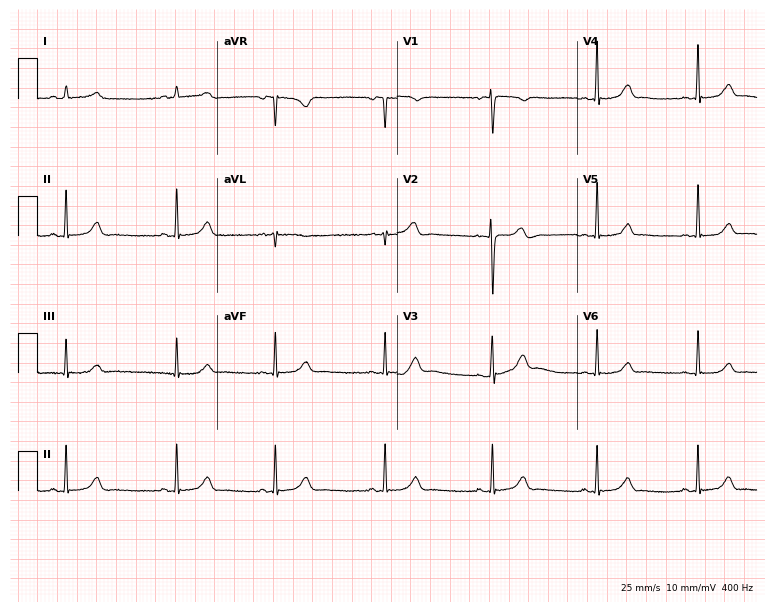
ECG — a 34-year-old female. Labelled as a normal ECG.